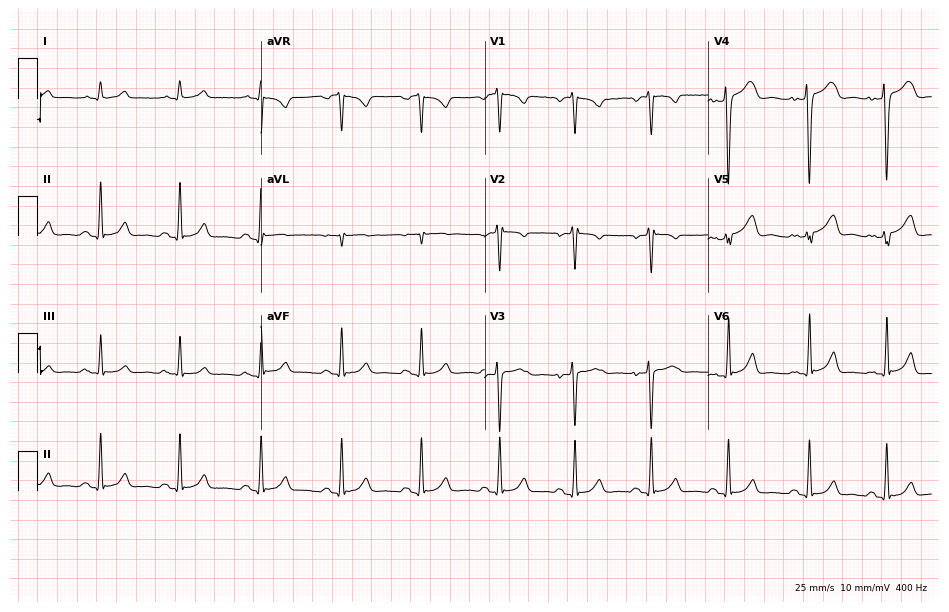
12-lead ECG (9.1-second recording at 400 Hz) from a 37-year-old woman. Screened for six findings — first-degree AV block, right bundle branch block, left bundle branch block, sinus bradycardia, atrial fibrillation, sinus tachycardia — none is recorded.